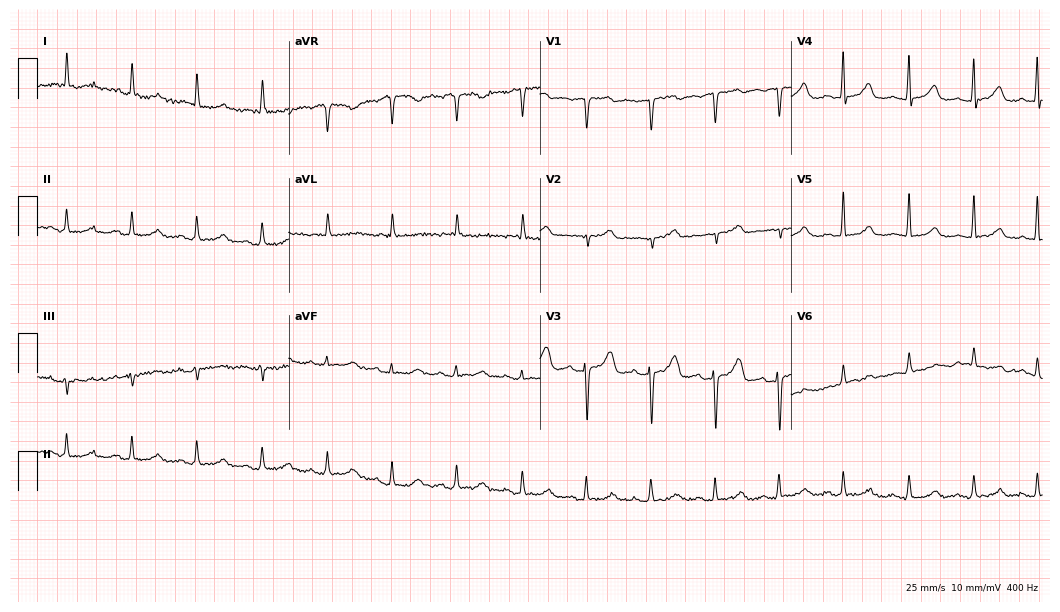
12-lead ECG from an 83-year-old female. Screened for six findings — first-degree AV block, right bundle branch block (RBBB), left bundle branch block (LBBB), sinus bradycardia, atrial fibrillation (AF), sinus tachycardia — none is recorded. Only these six findings were labelled.